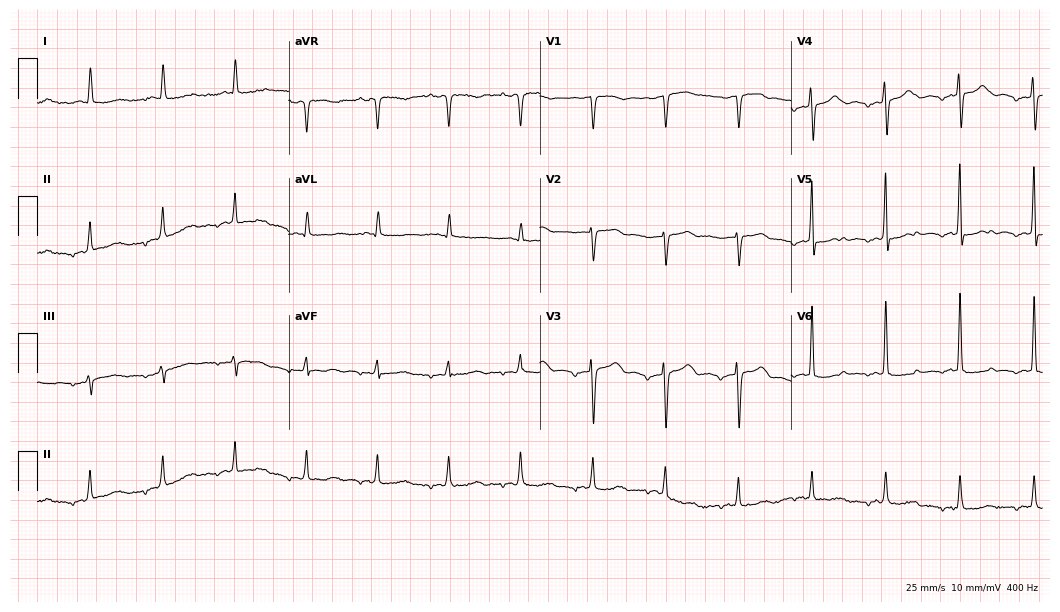
Electrocardiogram (10.2-second recording at 400 Hz), a 78-year-old female. Of the six screened findings (first-degree AV block, right bundle branch block (RBBB), left bundle branch block (LBBB), sinus bradycardia, atrial fibrillation (AF), sinus tachycardia), none is recorded.